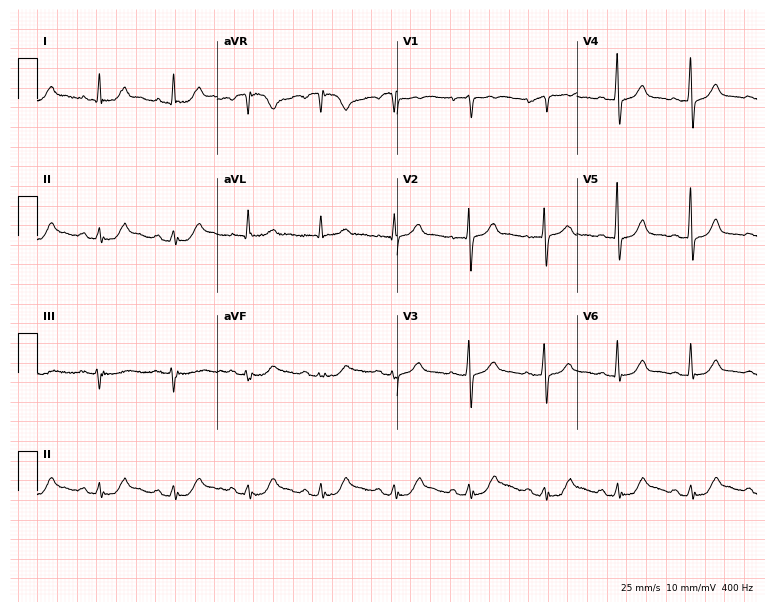
12-lead ECG (7.3-second recording at 400 Hz) from a female patient, 78 years old. Labelled as a normal ECG.